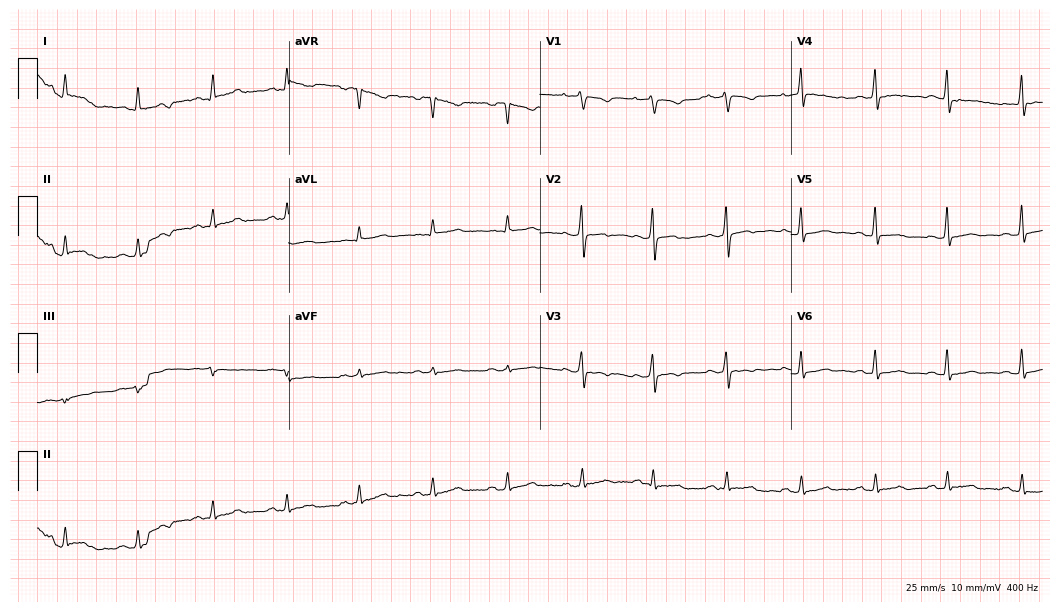
ECG — a female, 41 years old. Screened for six findings — first-degree AV block, right bundle branch block, left bundle branch block, sinus bradycardia, atrial fibrillation, sinus tachycardia — none is recorded.